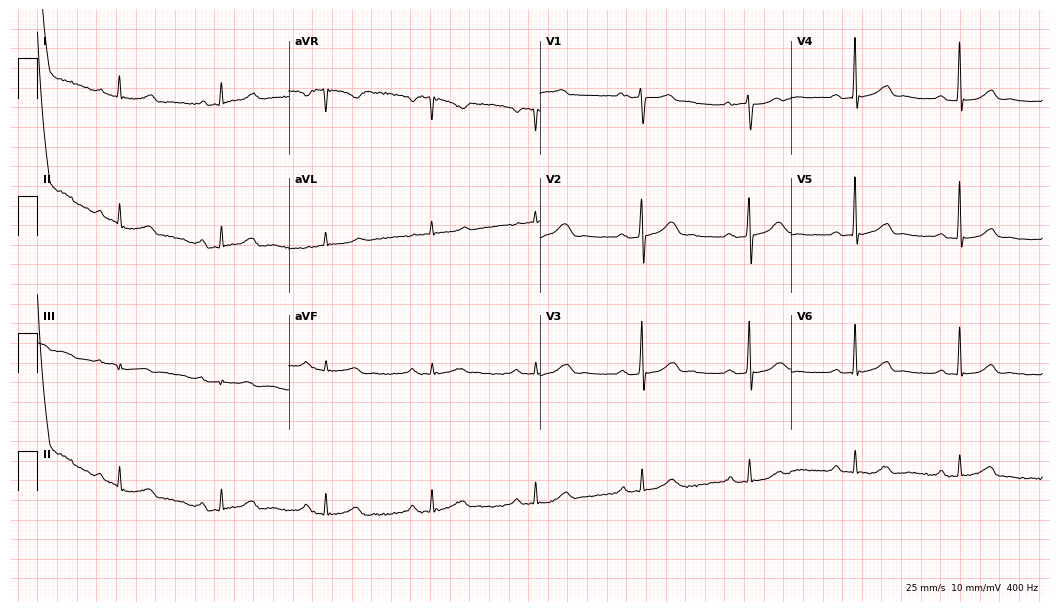
Electrocardiogram (10.2-second recording at 400 Hz), a 49-year-old man. Of the six screened findings (first-degree AV block, right bundle branch block, left bundle branch block, sinus bradycardia, atrial fibrillation, sinus tachycardia), none is recorded. Other findings, if any, are not listed.